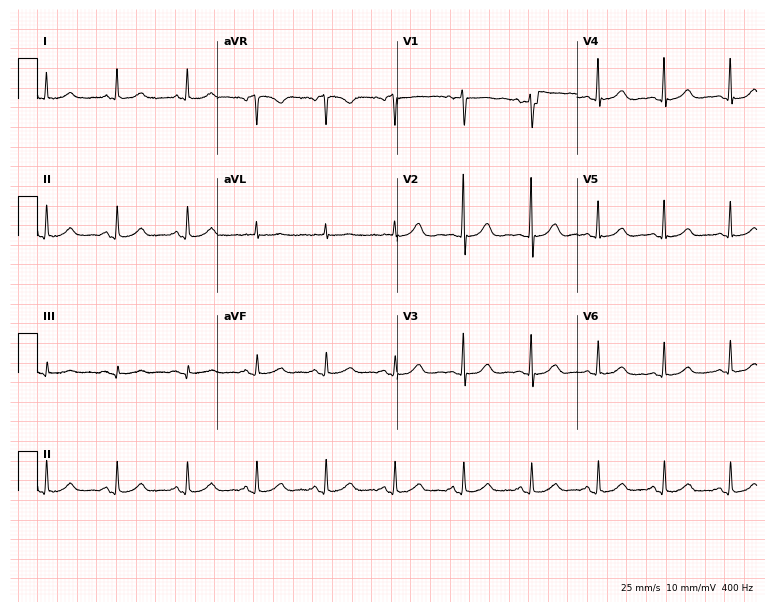
Resting 12-lead electrocardiogram (7.3-second recording at 400 Hz). Patient: a 67-year-old female. Read as a normal ECG.